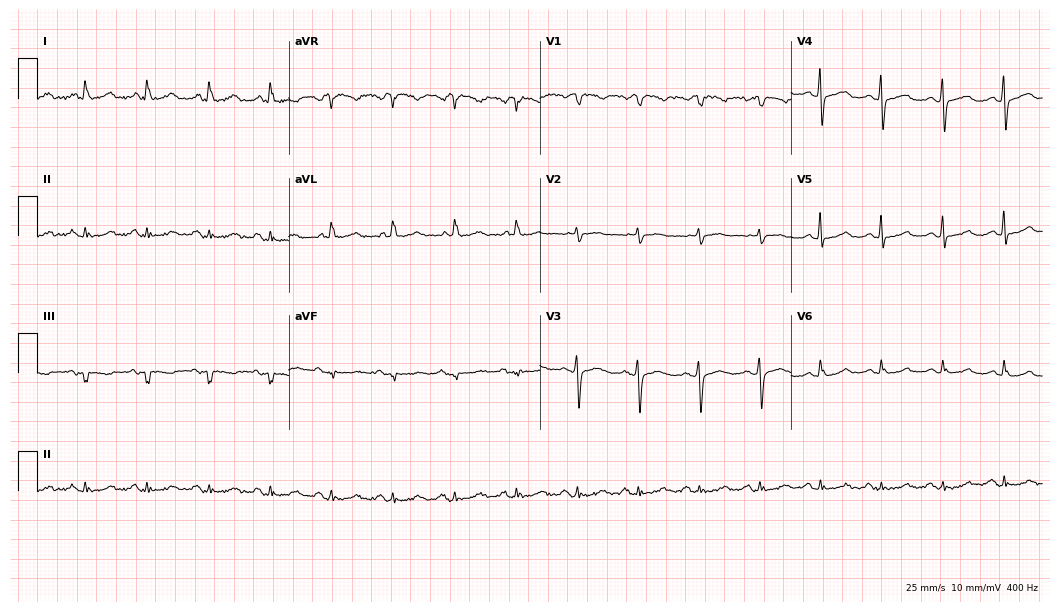
Electrocardiogram, a woman, 72 years old. Overall reading on record: normal ECG.